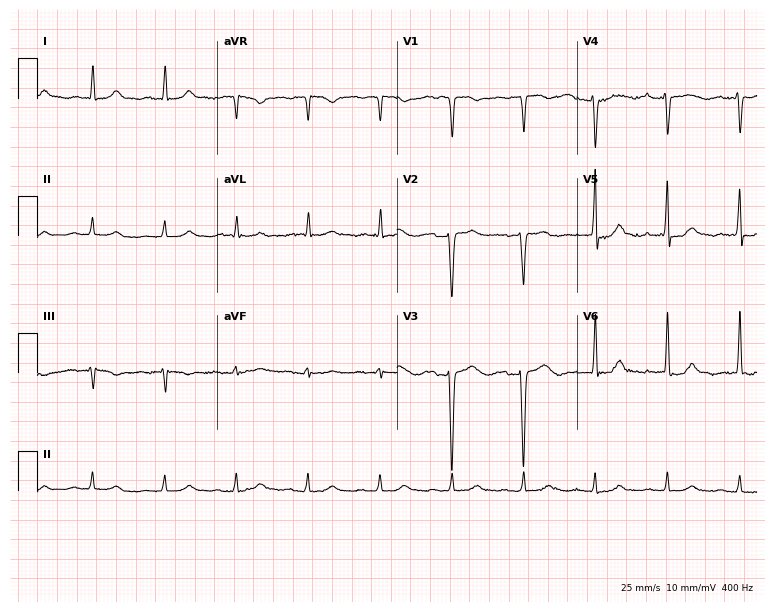
Standard 12-lead ECG recorded from a 63-year-old woman (7.3-second recording at 400 Hz). Read as a normal ECG.